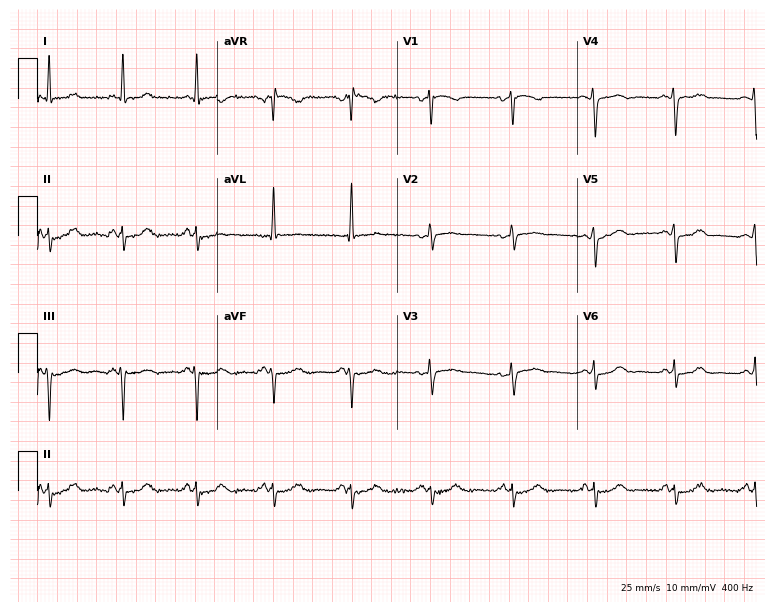
12-lead ECG from a 71-year-old female. Screened for six findings — first-degree AV block, right bundle branch block, left bundle branch block, sinus bradycardia, atrial fibrillation, sinus tachycardia — none is recorded.